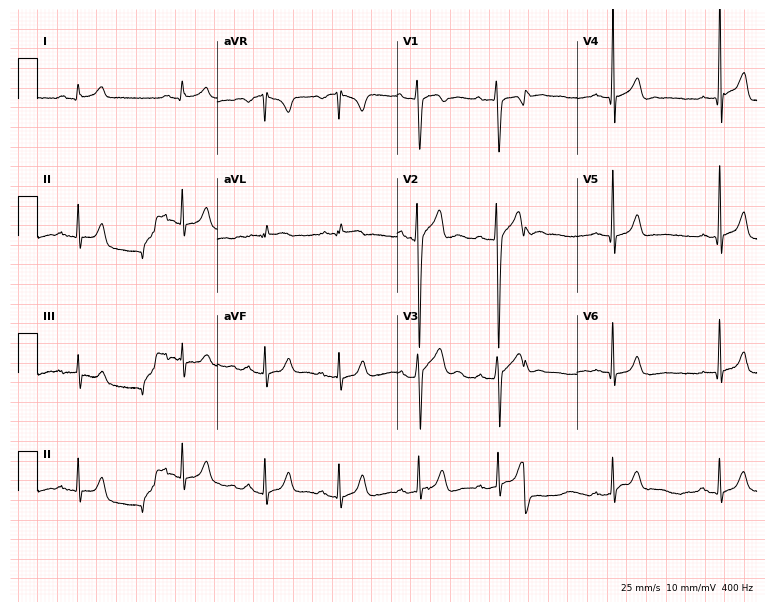
12-lead ECG from a 24-year-old male. Shows first-degree AV block.